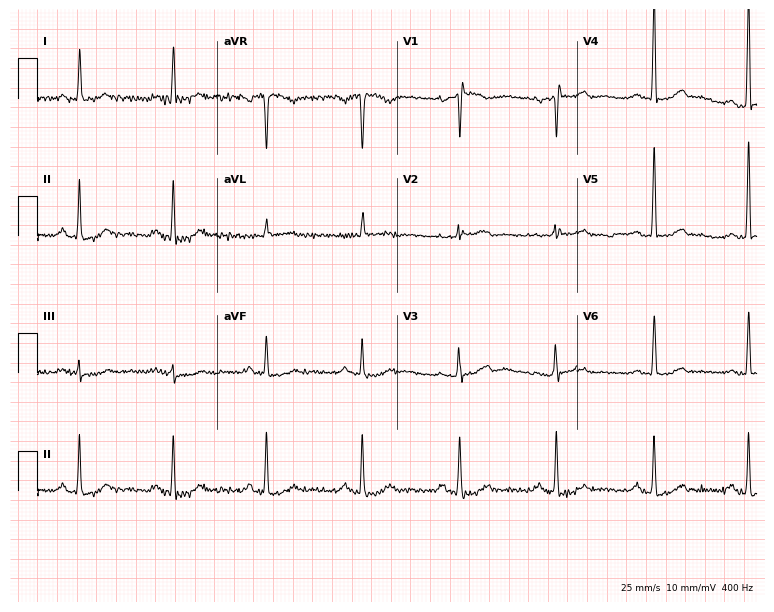
12-lead ECG from a male patient, 59 years old. No first-degree AV block, right bundle branch block, left bundle branch block, sinus bradycardia, atrial fibrillation or sinus tachycardia recorded for this tracing.